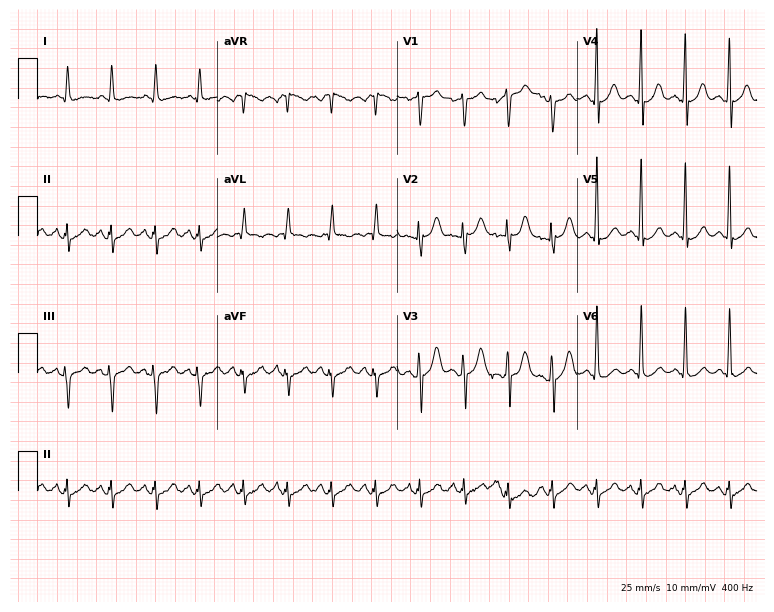
ECG — a 59-year-old male. Screened for six findings — first-degree AV block, right bundle branch block, left bundle branch block, sinus bradycardia, atrial fibrillation, sinus tachycardia — none is recorded. Only these six findings were labelled.